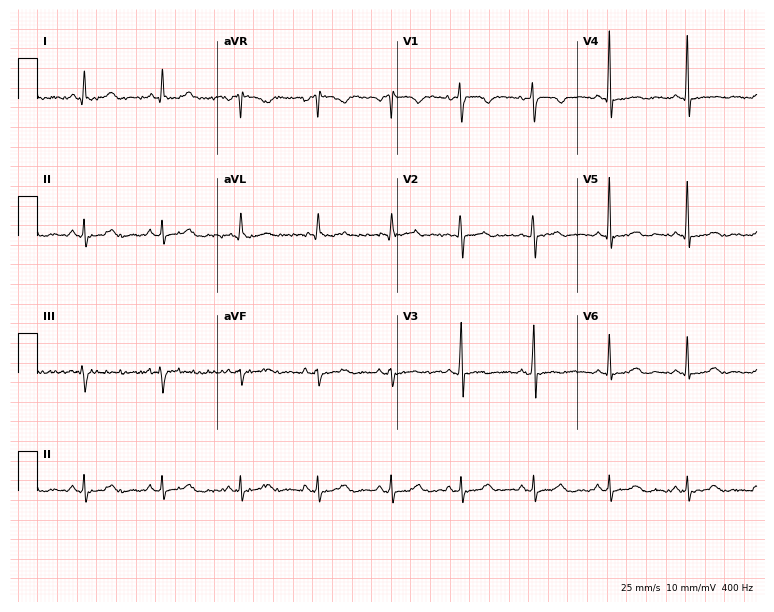
12-lead ECG (7.3-second recording at 400 Hz) from a 77-year-old female. Labelled as a normal ECG.